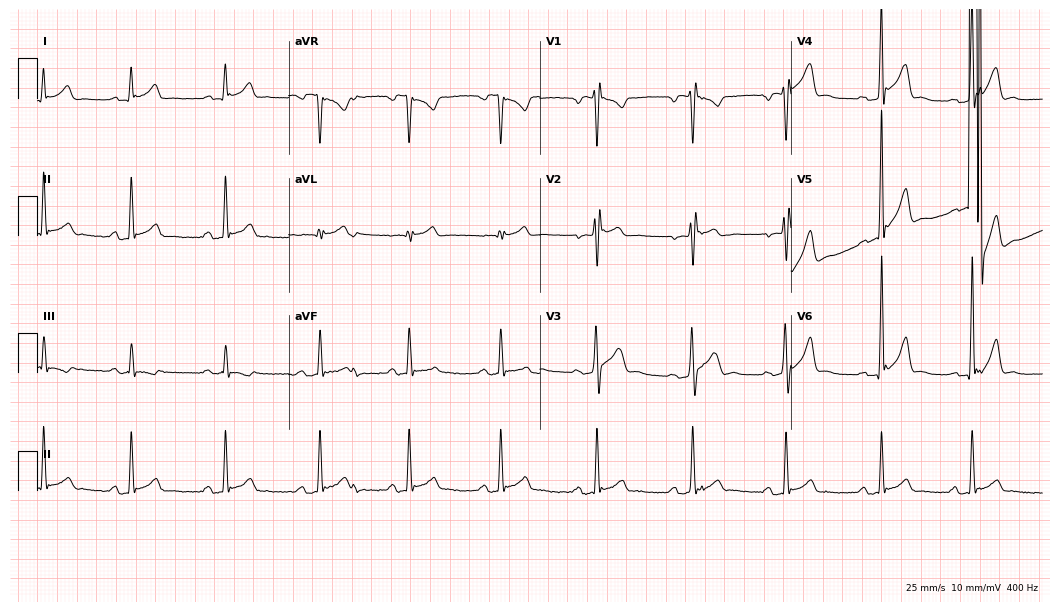
12-lead ECG from a 29-year-old male patient (10.2-second recording at 400 Hz). Recorded interpretation: within normal limits.